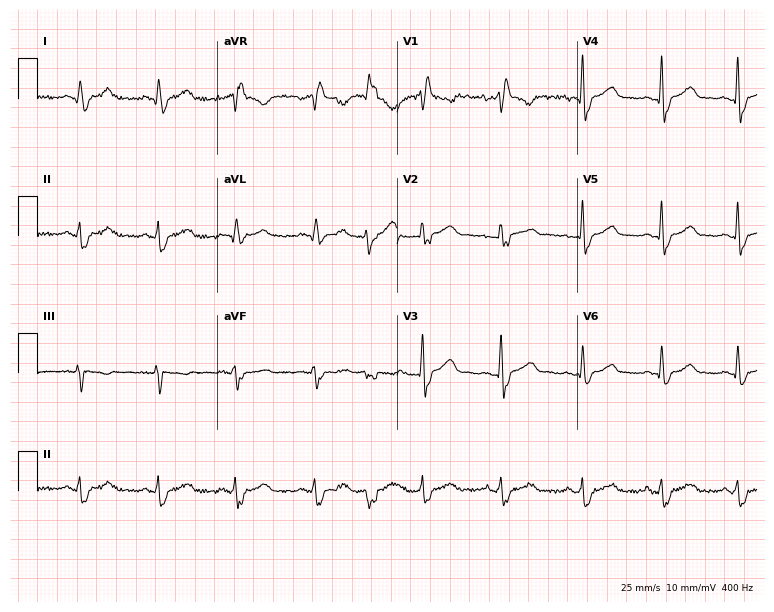
12-lead ECG from a 45-year-old female patient (7.3-second recording at 400 Hz). No first-degree AV block, right bundle branch block, left bundle branch block, sinus bradycardia, atrial fibrillation or sinus tachycardia recorded for this tracing.